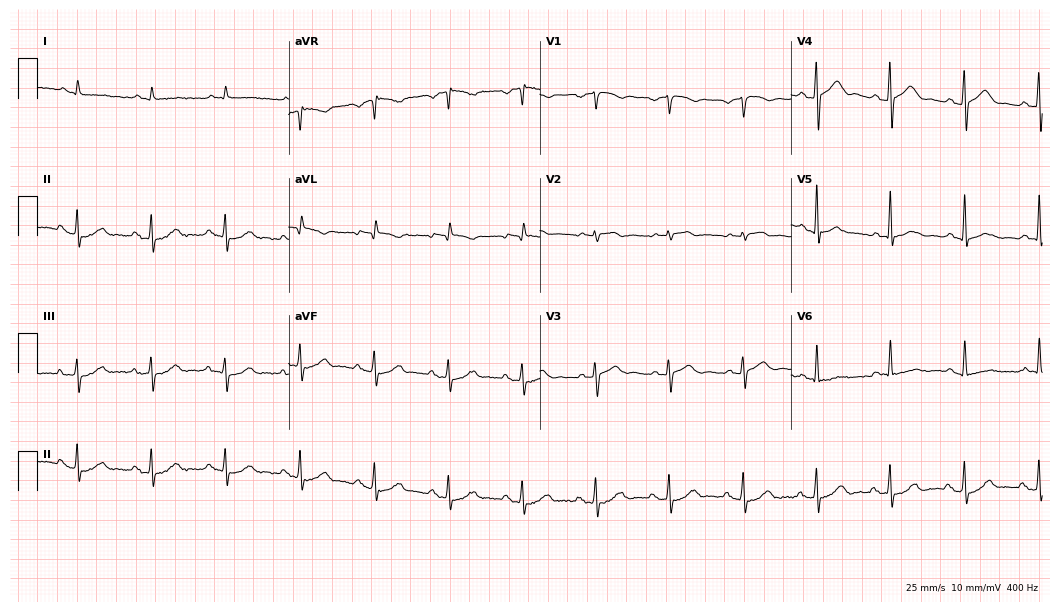
Resting 12-lead electrocardiogram. Patient: a 79-year-old male. None of these six findings is recorded: first-degree AV block, right bundle branch block, left bundle branch block, sinus bradycardia, atrial fibrillation, sinus tachycardia.